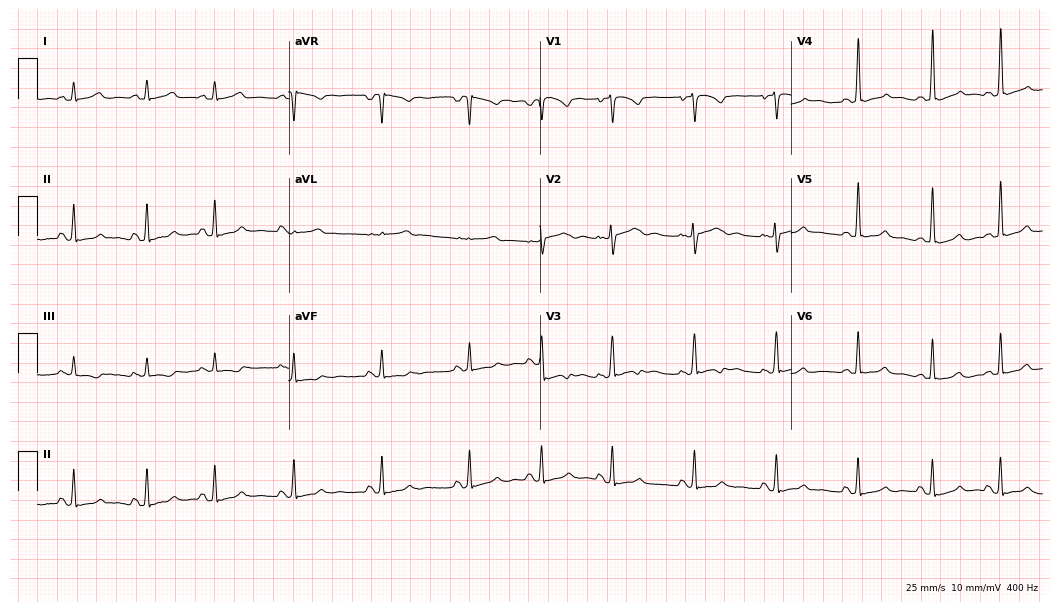
12-lead ECG from a 26-year-old woman (10.2-second recording at 400 Hz). Recorded interpretation: within normal limits.